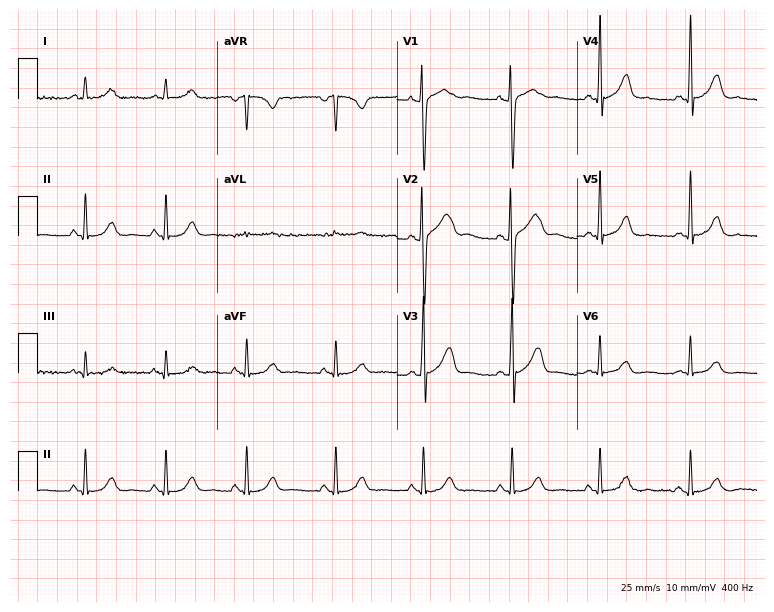
Electrocardiogram, a woman, 29 years old. Overall reading on record: normal ECG.